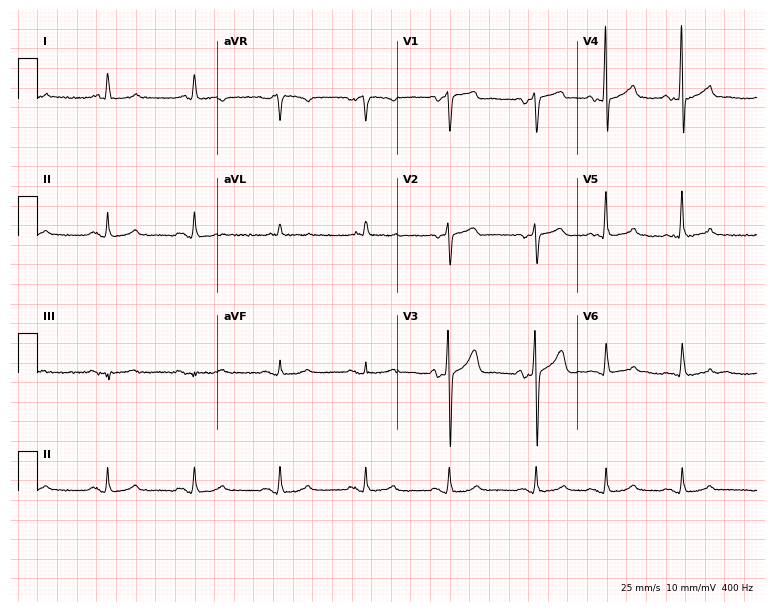
12-lead ECG (7.3-second recording at 400 Hz) from a 77-year-old man. Screened for six findings — first-degree AV block, right bundle branch block, left bundle branch block, sinus bradycardia, atrial fibrillation, sinus tachycardia — none is recorded.